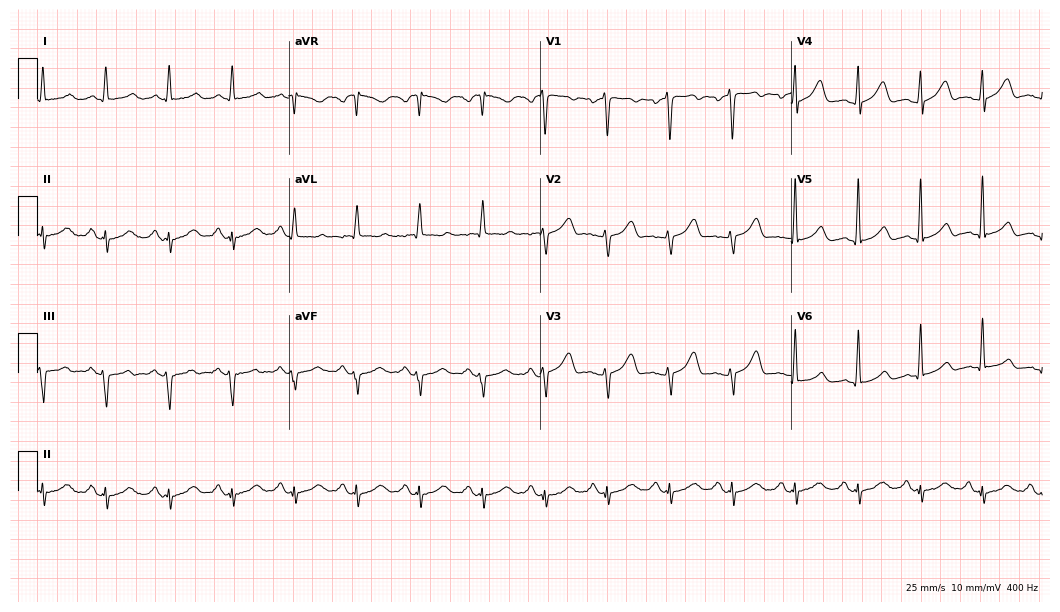
Resting 12-lead electrocardiogram. Patient: a male, 54 years old. None of these six findings is recorded: first-degree AV block, right bundle branch block, left bundle branch block, sinus bradycardia, atrial fibrillation, sinus tachycardia.